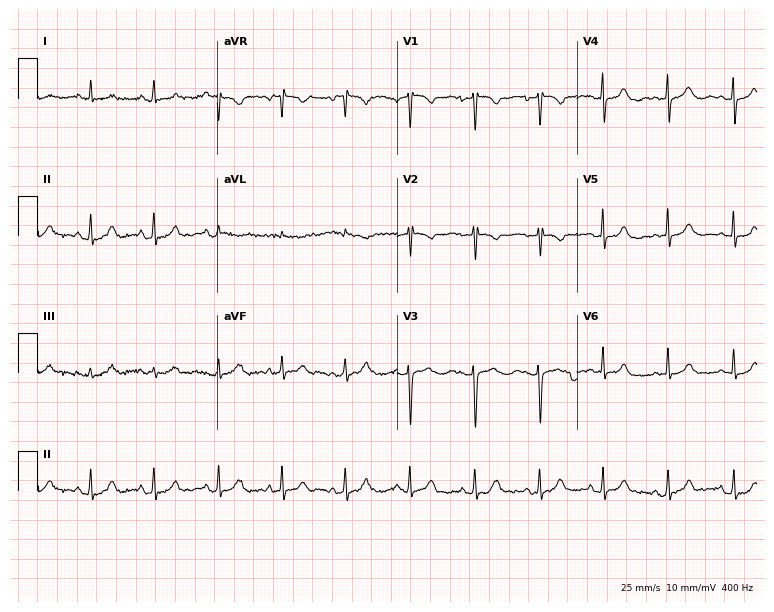
Standard 12-lead ECG recorded from a 28-year-old female patient (7.3-second recording at 400 Hz). None of these six findings is recorded: first-degree AV block, right bundle branch block (RBBB), left bundle branch block (LBBB), sinus bradycardia, atrial fibrillation (AF), sinus tachycardia. Other findings, if any, are not listed.